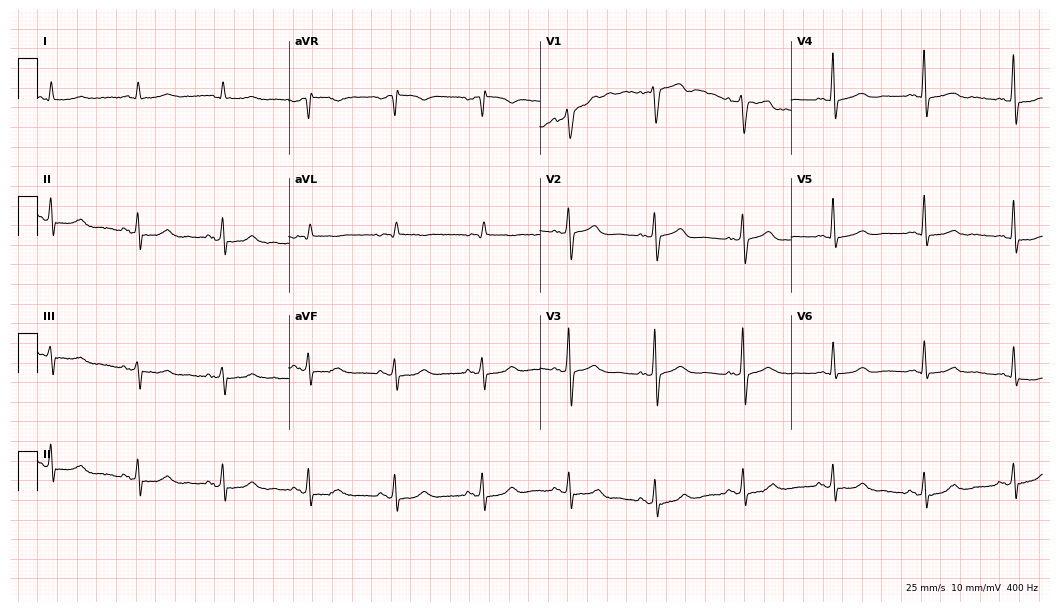
12-lead ECG from a 70-year-old male. No first-degree AV block, right bundle branch block (RBBB), left bundle branch block (LBBB), sinus bradycardia, atrial fibrillation (AF) or sinus tachycardia recorded for this tracing. Only these six findings were labelled.